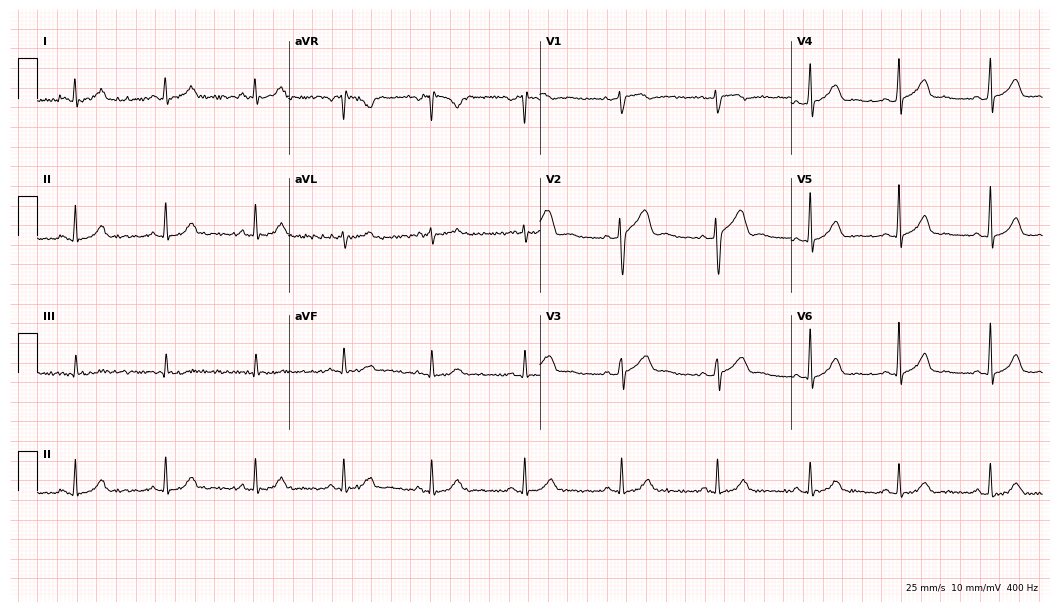
ECG — a 39-year-old male patient. Labelled as a normal ECG.